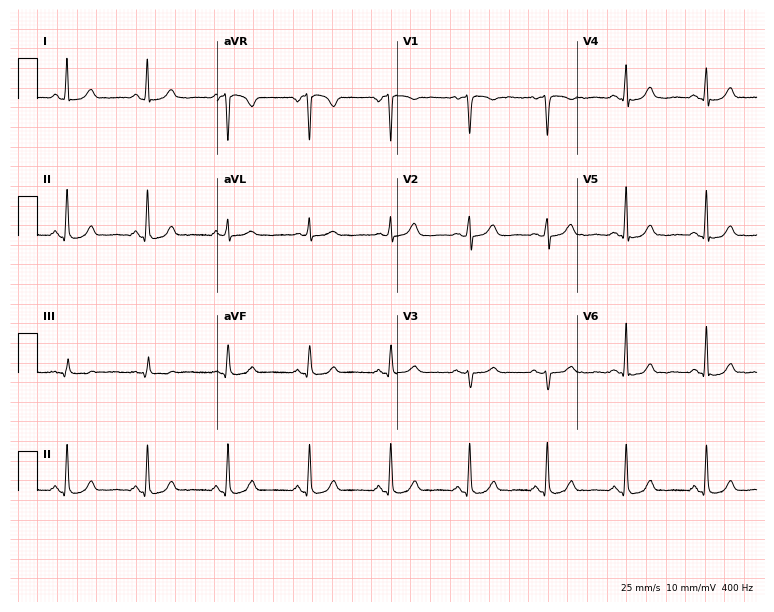
ECG — a female patient, 50 years old. Labelled as a normal ECG.